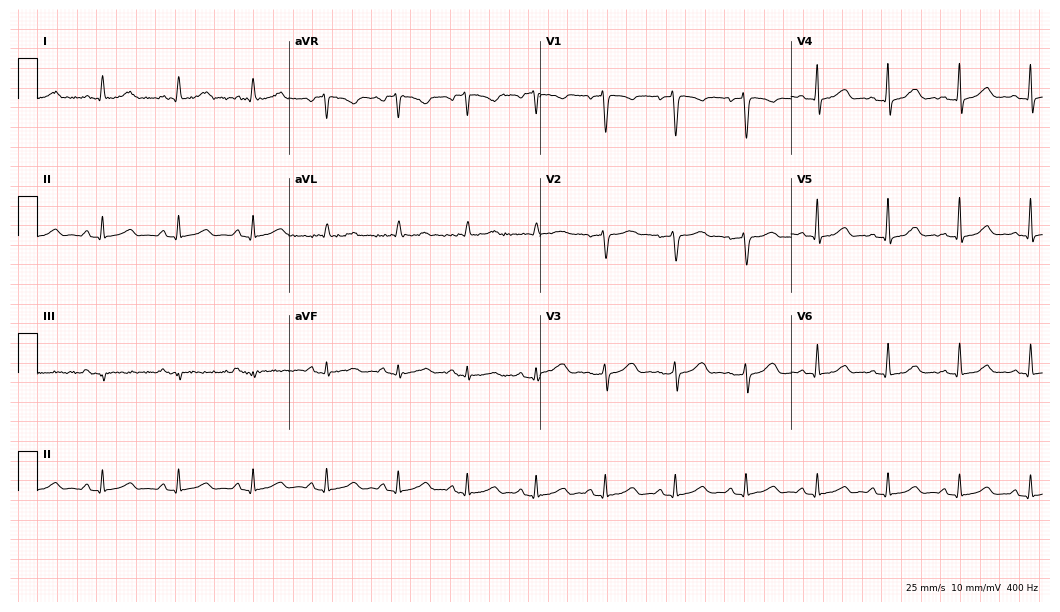
Standard 12-lead ECG recorded from a female, 40 years old. None of these six findings is recorded: first-degree AV block, right bundle branch block, left bundle branch block, sinus bradycardia, atrial fibrillation, sinus tachycardia.